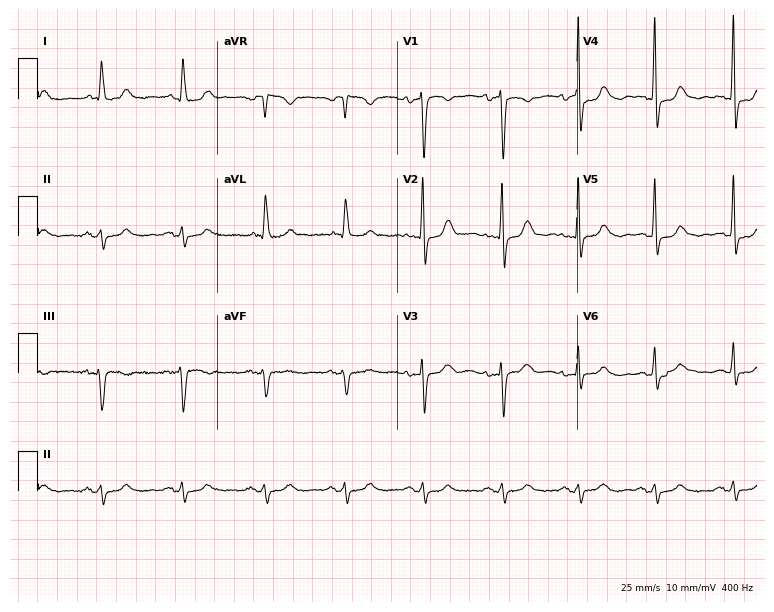
12-lead ECG from a 62-year-old woman. No first-degree AV block, right bundle branch block, left bundle branch block, sinus bradycardia, atrial fibrillation or sinus tachycardia recorded for this tracing.